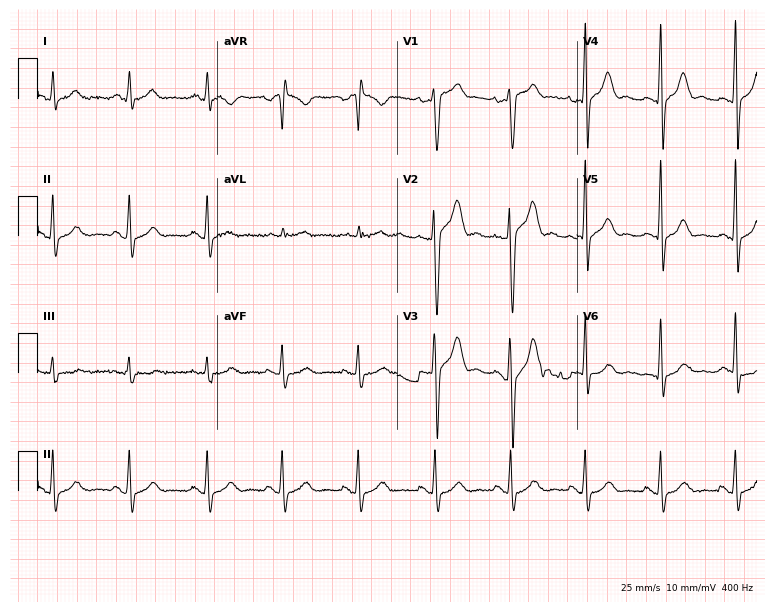
12-lead ECG (7.3-second recording at 400 Hz) from a man, 36 years old. Labelled as a normal ECG.